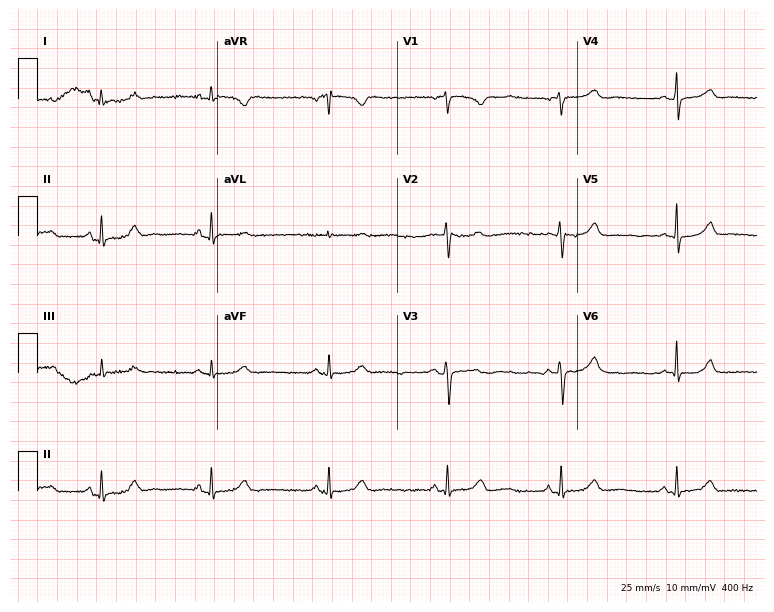
12-lead ECG from a female patient, 36 years old. No first-degree AV block, right bundle branch block, left bundle branch block, sinus bradycardia, atrial fibrillation or sinus tachycardia recorded for this tracing. Only these six findings were labelled.